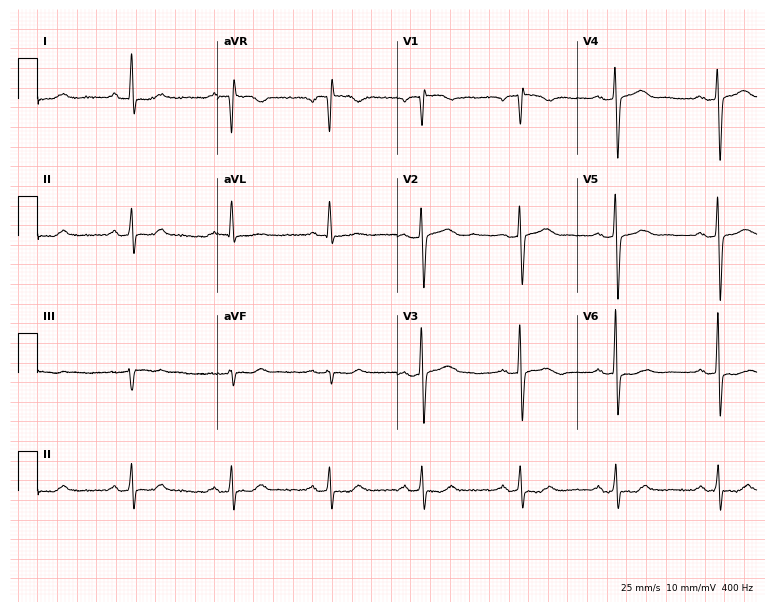
ECG (7.3-second recording at 400 Hz) — a female, 57 years old. Screened for six findings — first-degree AV block, right bundle branch block, left bundle branch block, sinus bradycardia, atrial fibrillation, sinus tachycardia — none is recorded. Only these six findings were labelled.